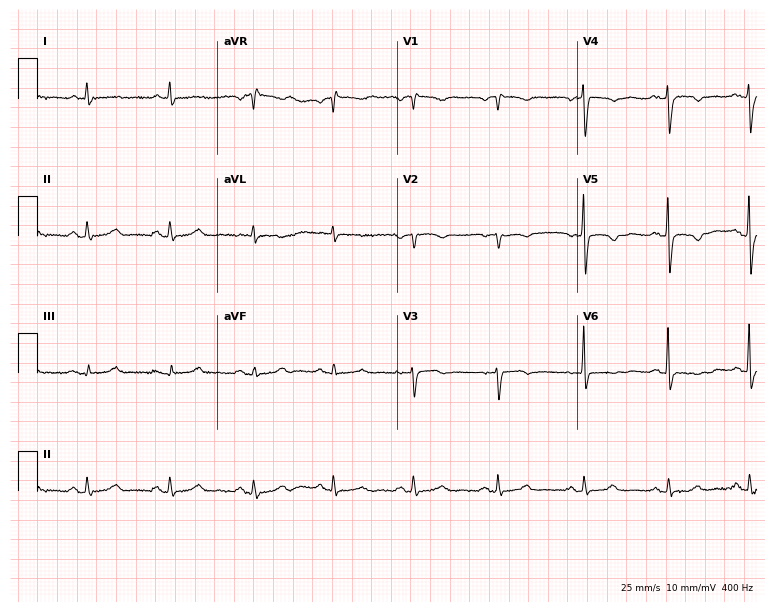
12-lead ECG from a woman, 65 years old. Screened for six findings — first-degree AV block, right bundle branch block, left bundle branch block, sinus bradycardia, atrial fibrillation, sinus tachycardia — none is recorded. Only these six findings were labelled.